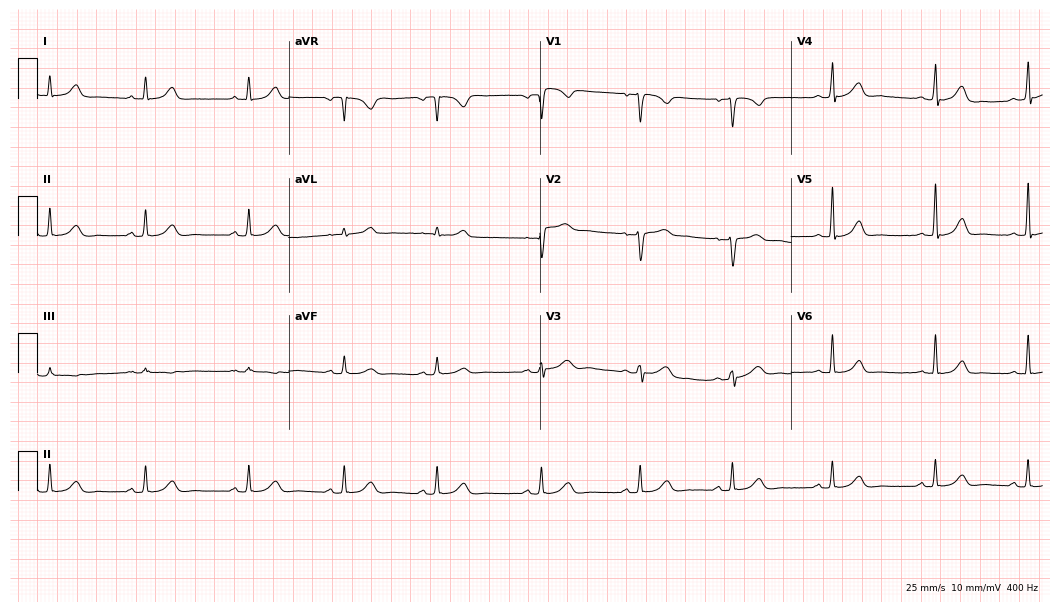
12-lead ECG from a 40-year-old female. Labelled as a normal ECG.